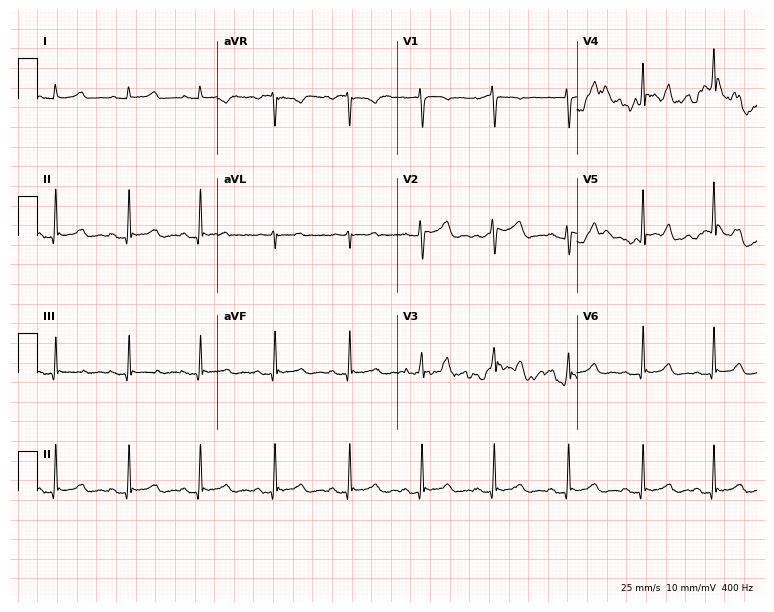
Standard 12-lead ECG recorded from a 24-year-old male patient (7.3-second recording at 400 Hz). Read as a normal ECG.